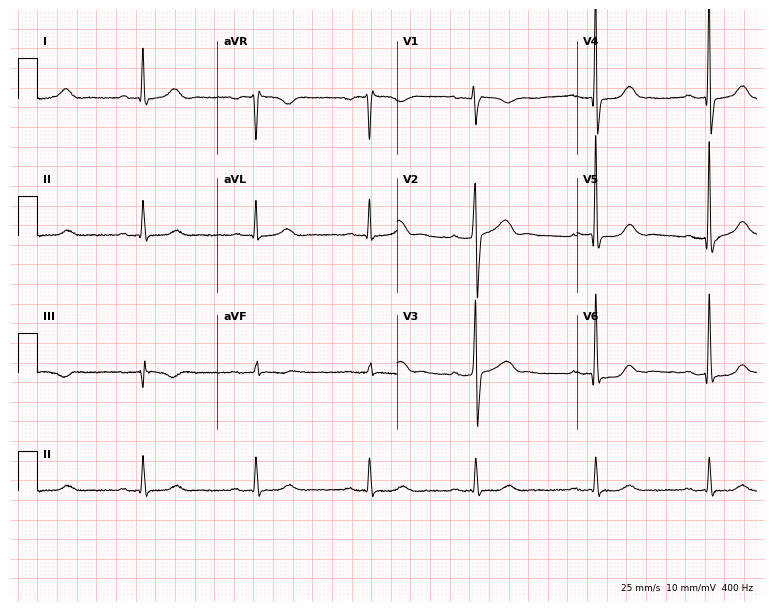
ECG — a male, 51 years old. Screened for six findings — first-degree AV block, right bundle branch block (RBBB), left bundle branch block (LBBB), sinus bradycardia, atrial fibrillation (AF), sinus tachycardia — none is recorded. Other findings, if any, are not listed.